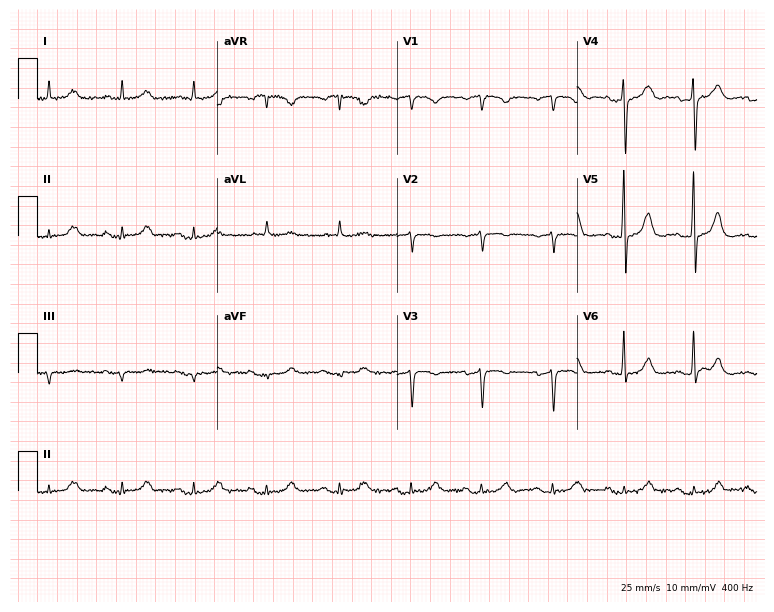
12-lead ECG from a 75-year-old woman. No first-degree AV block, right bundle branch block (RBBB), left bundle branch block (LBBB), sinus bradycardia, atrial fibrillation (AF) or sinus tachycardia recorded for this tracing. Findings outside these six are not listed.